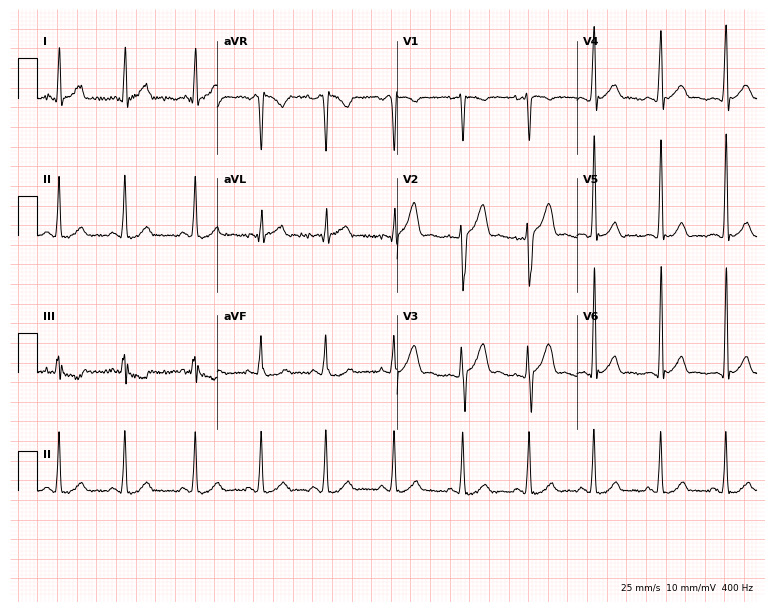
ECG — a 21-year-old man. Labelled as a normal ECG.